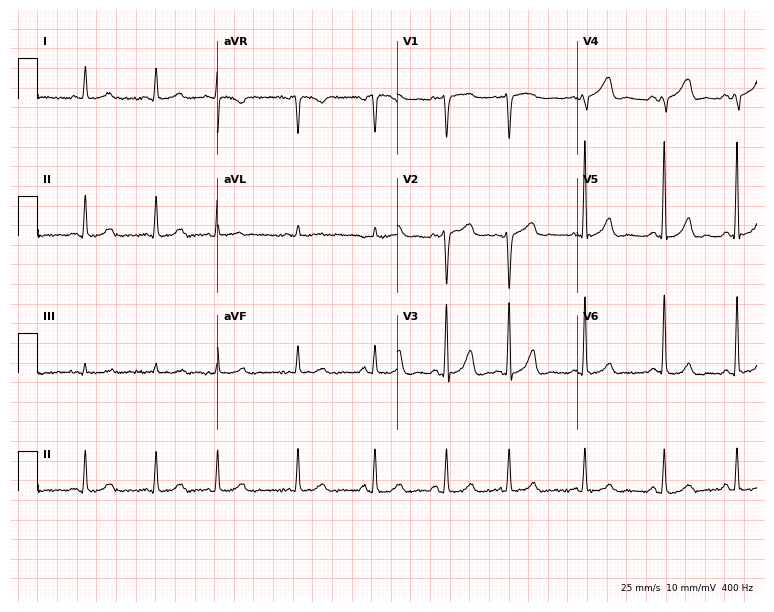
12-lead ECG (7.3-second recording at 400 Hz) from a 67-year-old female patient. Screened for six findings — first-degree AV block, right bundle branch block, left bundle branch block, sinus bradycardia, atrial fibrillation, sinus tachycardia — none is recorded.